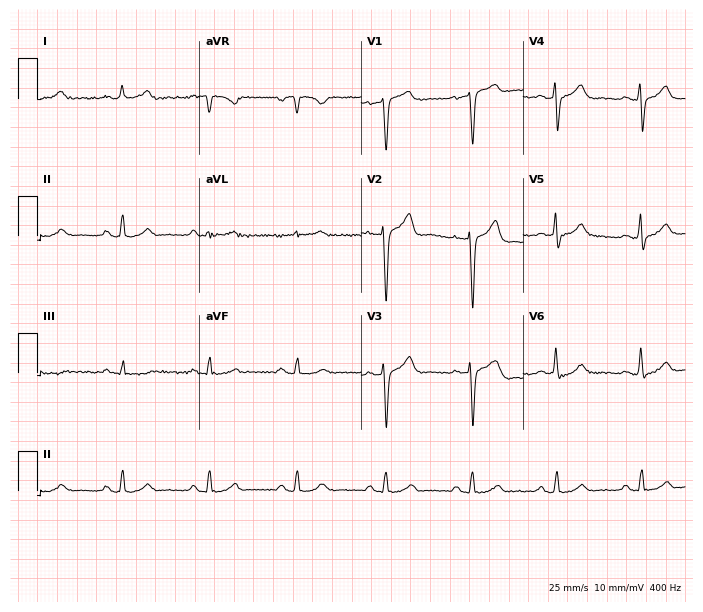
Electrocardiogram (6.6-second recording at 400 Hz), a 55-year-old man. Overall reading on record: normal ECG.